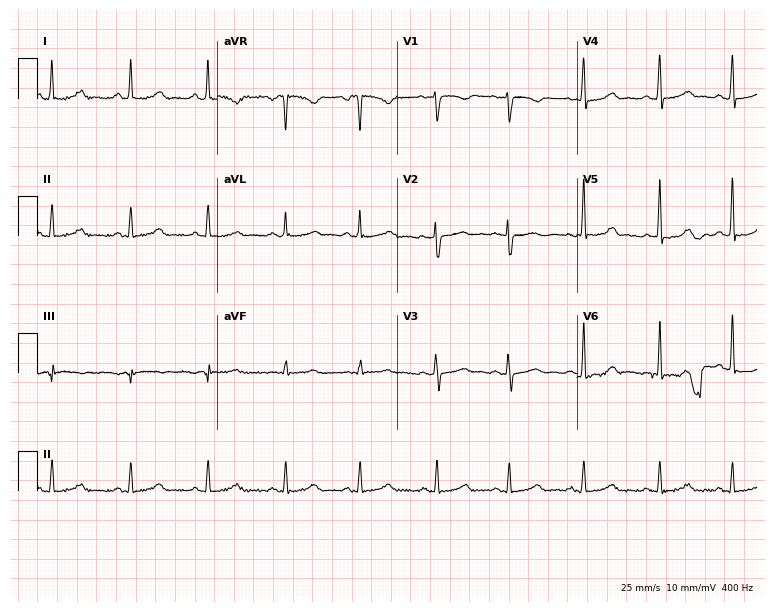
12-lead ECG from a 48-year-old female. Labelled as a normal ECG.